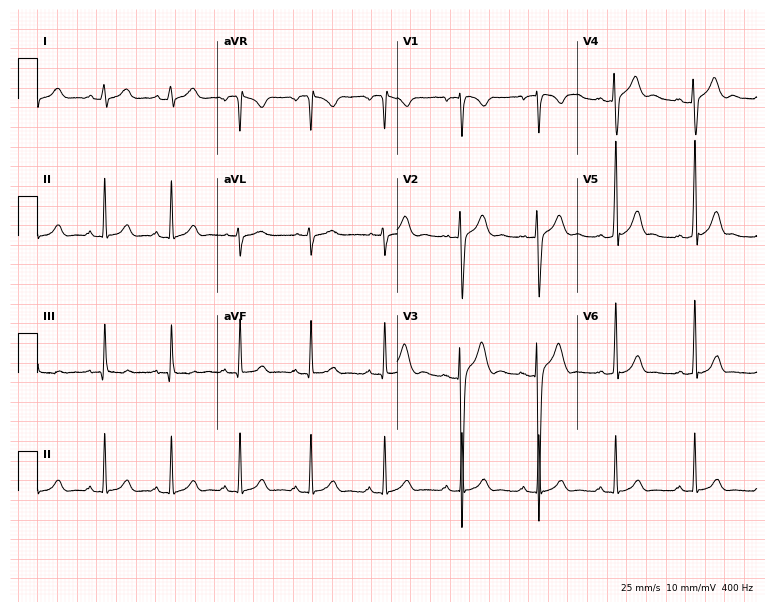
12-lead ECG from a man, 17 years old (7.3-second recording at 400 Hz). Recorded interpretation: within normal limits.